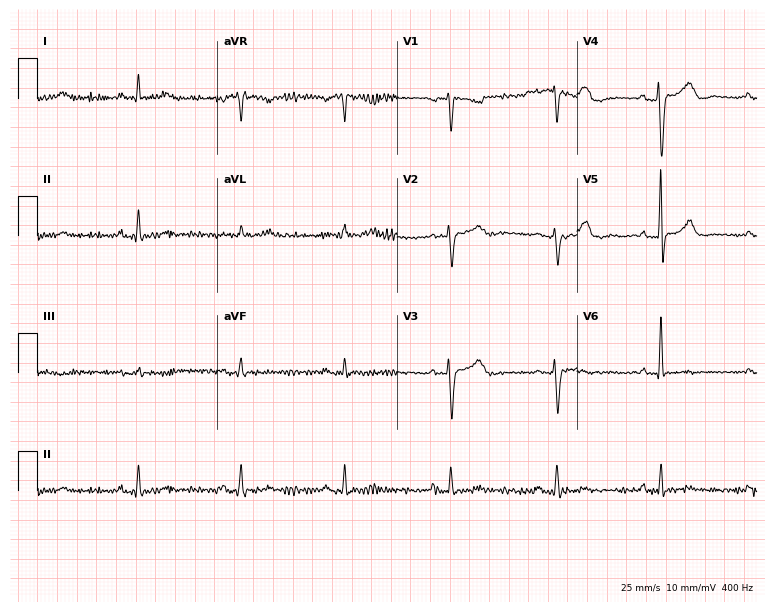
Electrocardiogram (7.3-second recording at 400 Hz), a female, 63 years old. Of the six screened findings (first-degree AV block, right bundle branch block, left bundle branch block, sinus bradycardia, atrial fibrillation, sinus tachycardia), none is recorded.